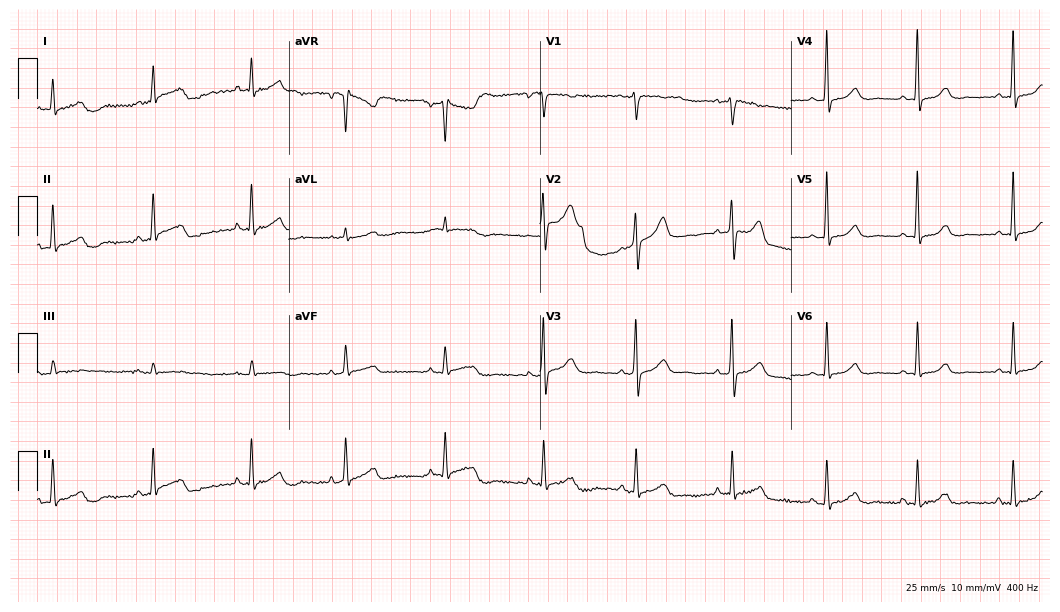
Standard 12-lead ECG recorded from a woman, 50 years old. Read as a normal ECG.